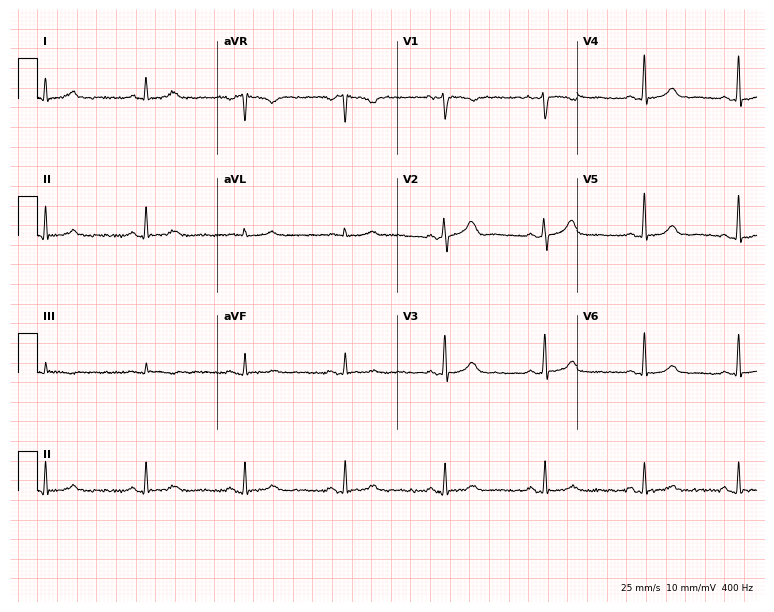
ECG (7.3-second recording at 400 Hz) — a 45-year-old female. Screened for six findings — first-degree AV block, right bundle branch block, left bundle branch block, sinus bradycardia, atrial fibrillation, sinus tachycardia — none is recorded. Only these six findings were labelled.